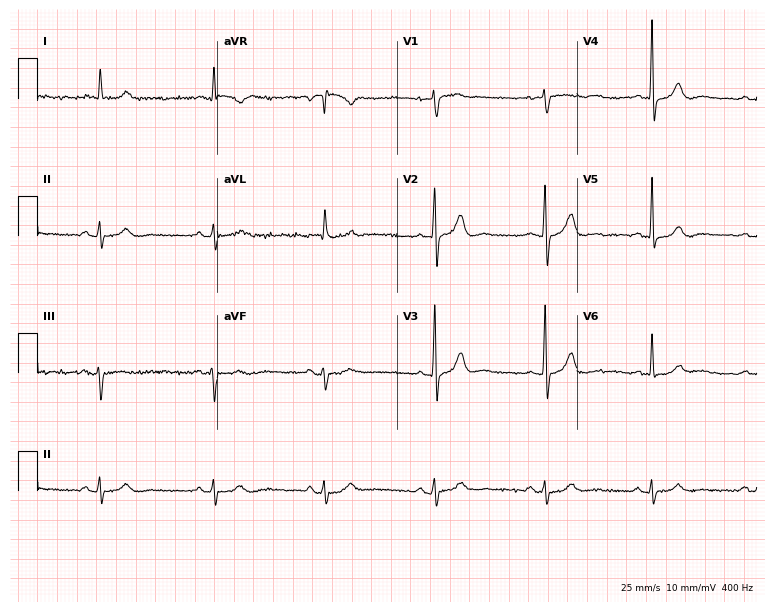
Electrocardiogram, a man, 55 years old. Of the six screened findings (first-degree AV block, right bundle branch block (RBBB), left bundle branch block (LBBB), sinus bradycardia, atrial fibrillation (AF), sinus tachycardia), none is recorded.